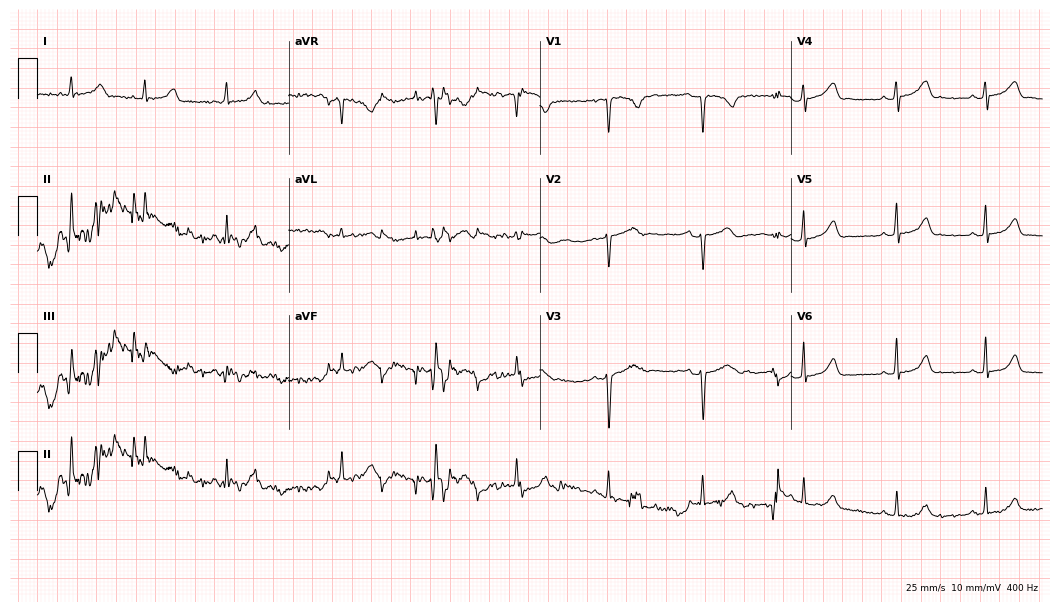
Resting 12-lead electrocardiogram (10.2-second recording at 400 Hz). Patient: a female, 21 years old. Read as a normal ECG.